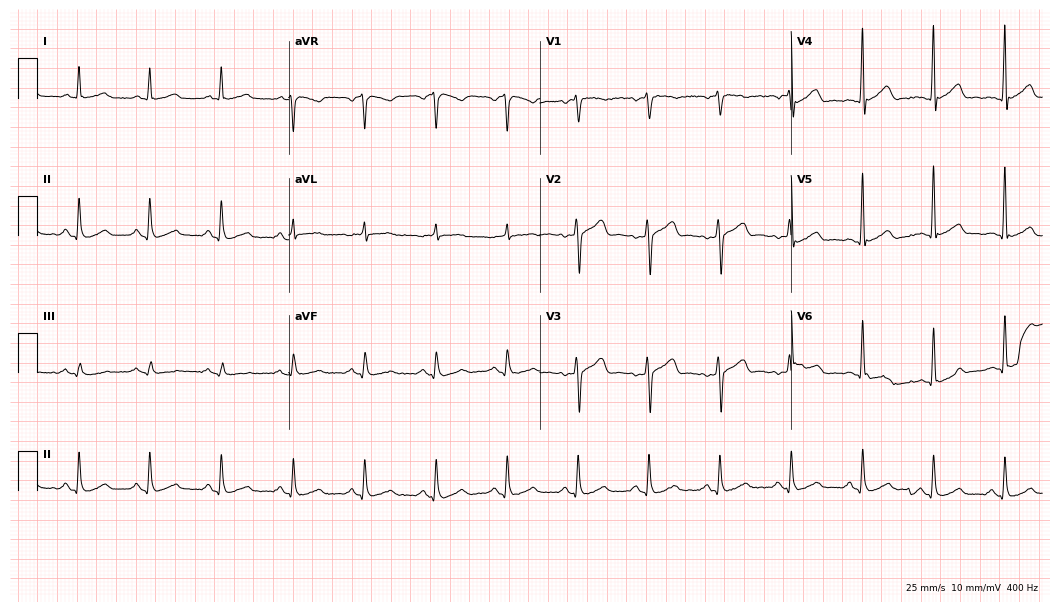
ECG (10.2-second recording at 400 Hz) — a male patient, 52 years old. Labelled as a normal ECG.